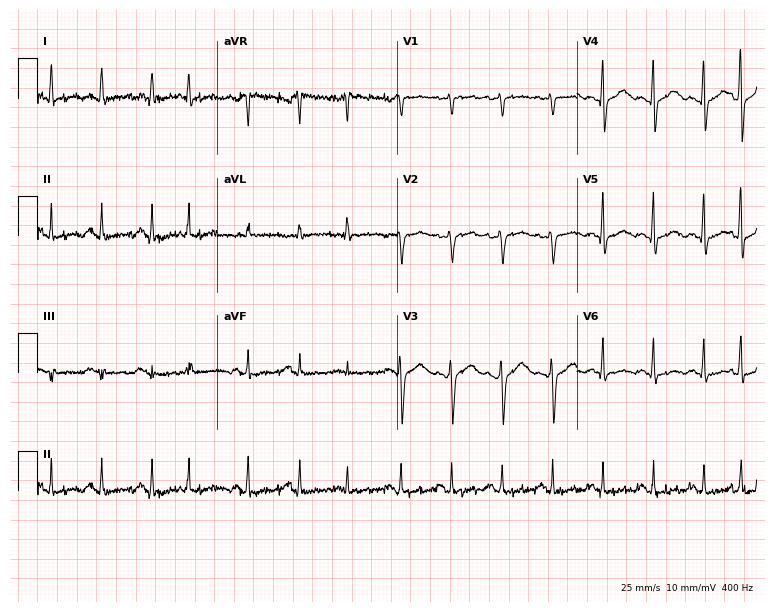
Resting 12-lead electrocardiogram. Patient: a man, 54 years old. The tracing shows sinus tachycardia (a sinus rate of 100 beats per minute or more).